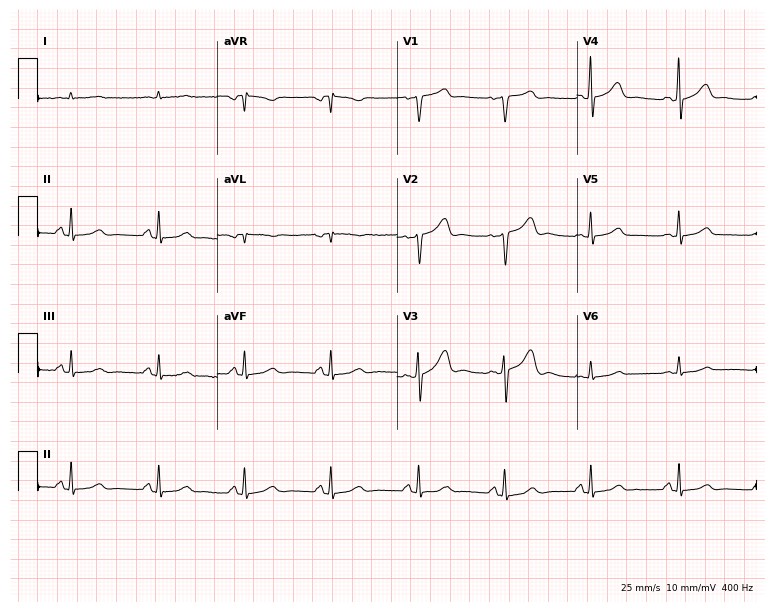
Electrocardiogram (7.3-second recording at 400 Hz), a male patient, 60 years old. Of the six screened findings (first-degree AV block, right bundle branch block, left bundle branch block, sinus bradycardia, atrial fibrillation, sinus tachycardia), none is recorded.